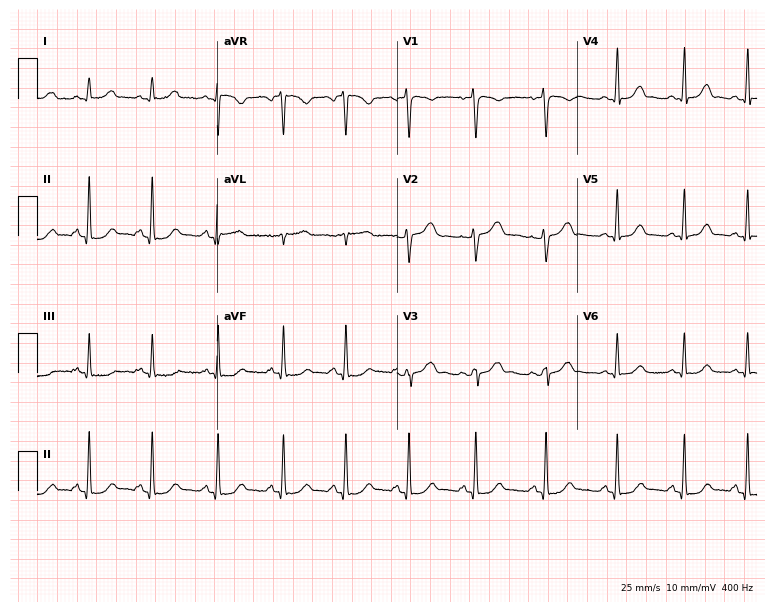
Resting 12-lead electrocardiogram. Patient: a 29-year-old woman. Read as a normal ECG.